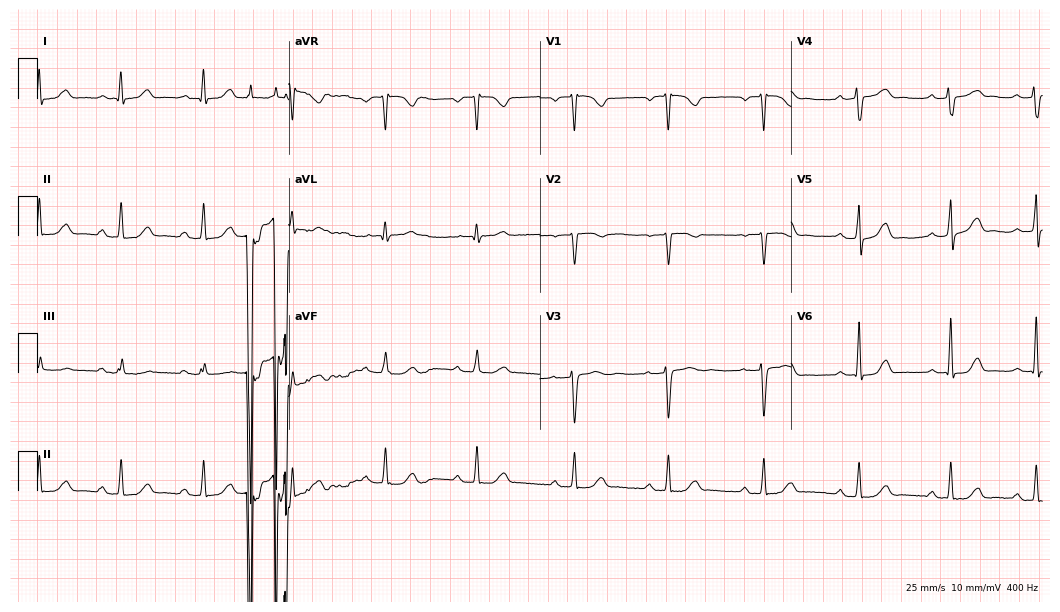
ECG (10.2-second recording at 400 Hz) — a 37-year-old female patient. Screened for six findings — first-degree AV block, right bundle branch block (RBBB), left bundle branch block (LBBB), sinus bradycardia, atrial fibrillation (AF), sinus tachycardia — none is recorded. Other findings, if any, are not listed.